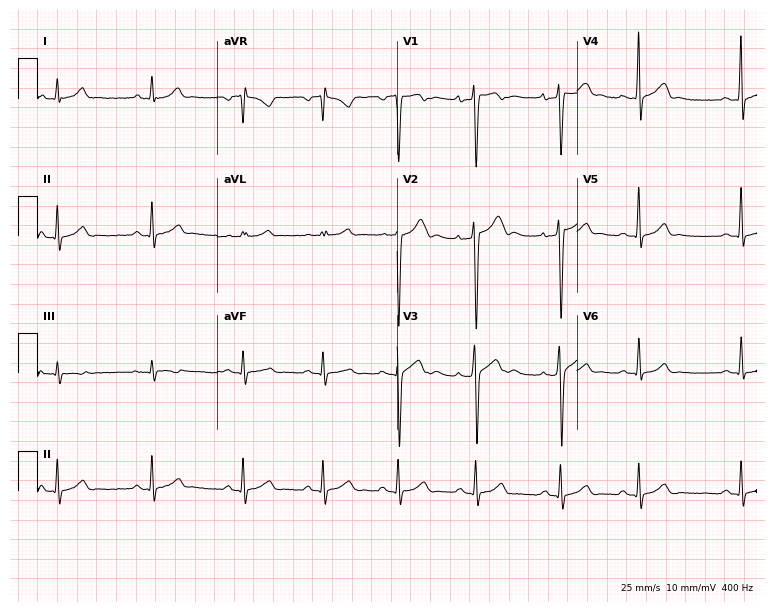
Resting 12-lead electrocardiogram. Patient: a man, 17 years old. None of these six findings is recorded: first-degree AV block, right bundle branch block (RBBB), left bundle branch block (LBBB), sinus bradycardia, atrial fibrillation (AF), sinus tachycardia.